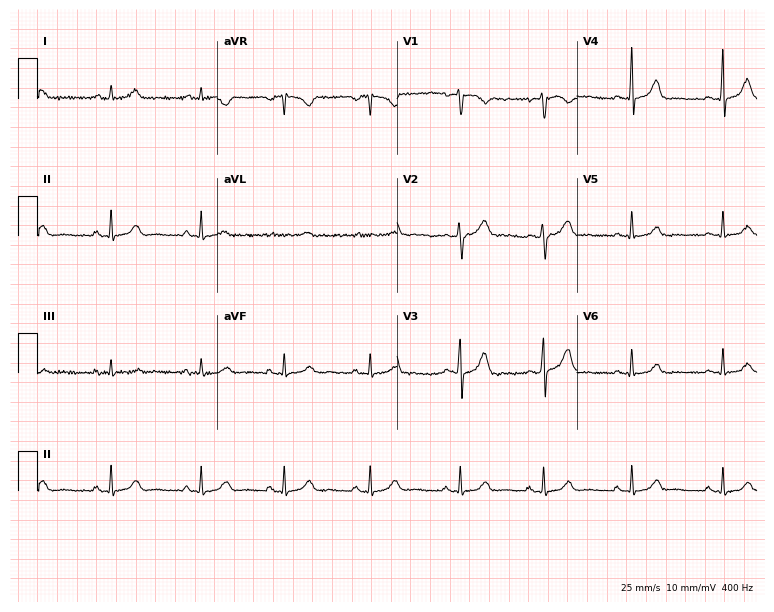
12-lead ECG from a woman, 42 years old (7.3-second recording at 400 Hz). Recorded interpretation: within normal limits.